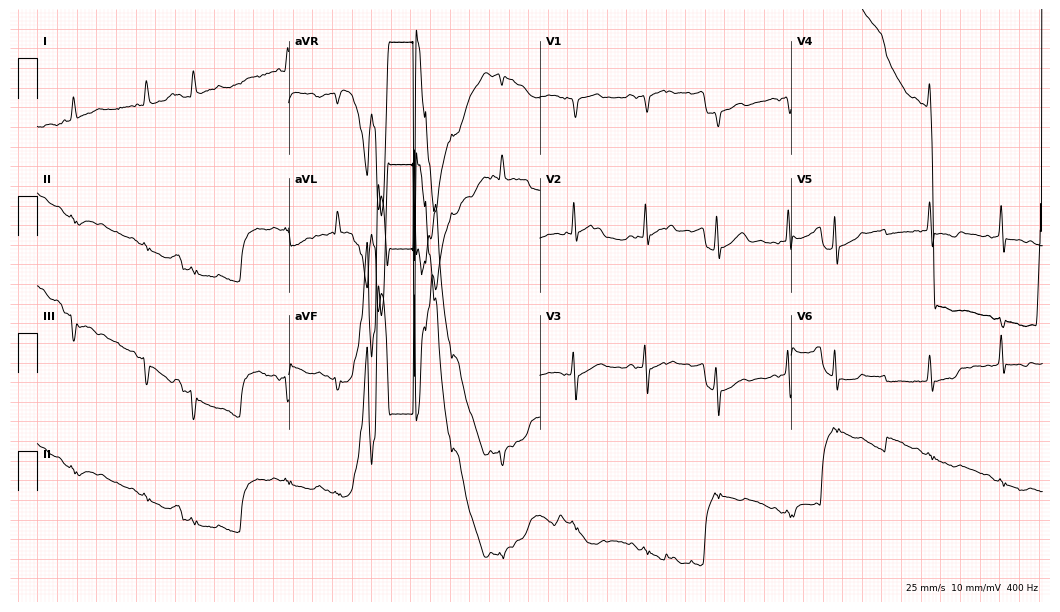
Resting 12-lead electrocardiogram (10.2-second recording at 400 Hz). Patient: an 82-year-old male. None of these six findings is recorded: first-degree AV block, right bundle branch block, left bundle branch block, sinus bradycardia, atrial fibrillation, sinus tachycardia. Only these six findings were labelled.